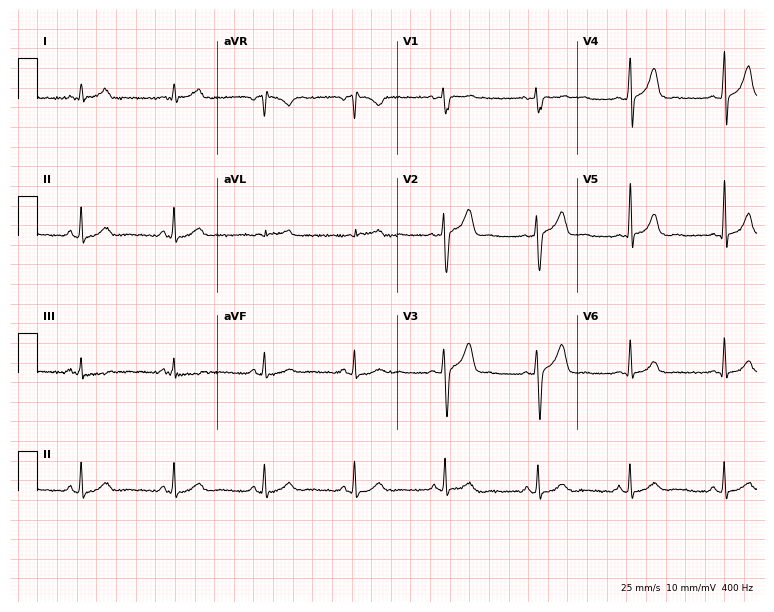
12-lead ECG (7.3-second recording at 400 Hz) from a 57-year-old male patient. Labelled as a normal ECG.